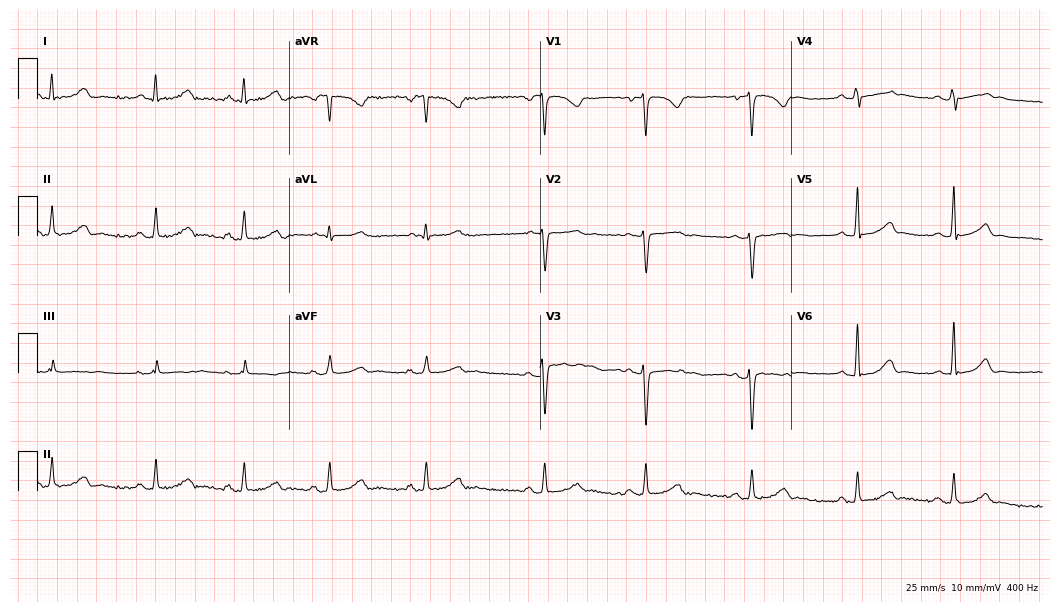
Resting 12-lead electrocardiogram. Patient: a 24-year-old woman. None of these six findings is recorded: first-degree AV block, right bundle branch block, left bundle branch block, sinus bradycardia, atrial fibrillation, sinus tachycardia.